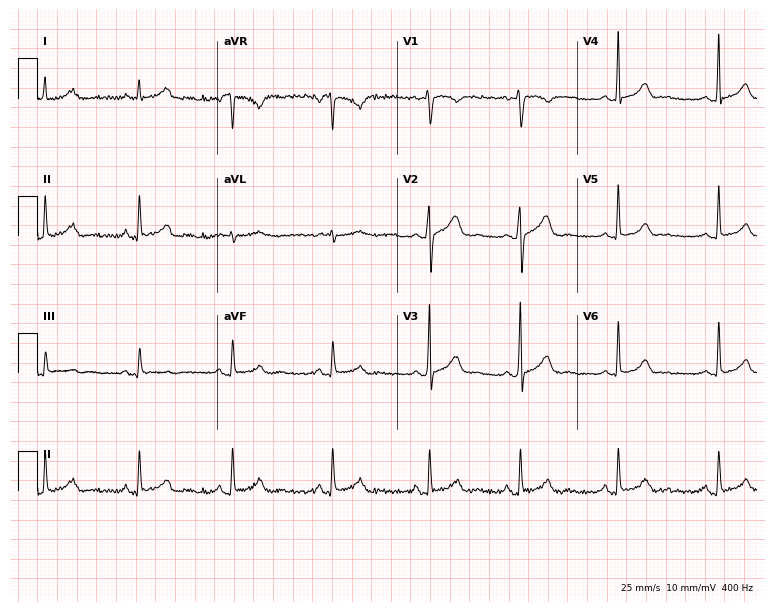
12-lead ECG from a 32-year-old woman. Screened for six findings — first-degree AV block, right bundle branch block (RBBB), left bundle branch block (LBBB), sinus bradycardia, atrial fibrillation (AF), sinus tachycardia — none is recorded. Other findings, if any, are not listed.